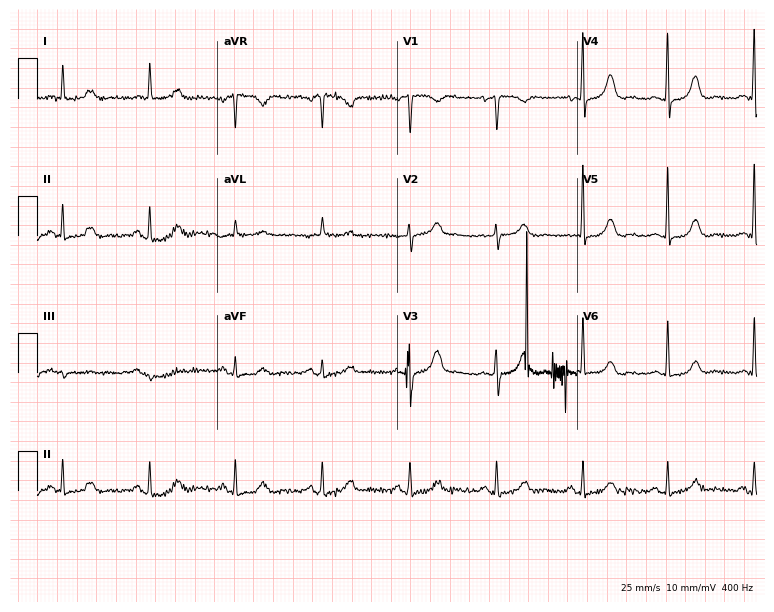
Standard 12-lead ECG recorded from an 84-year-old female patient (7.3-second recording at 400 Hz). Read as a normal ECG.